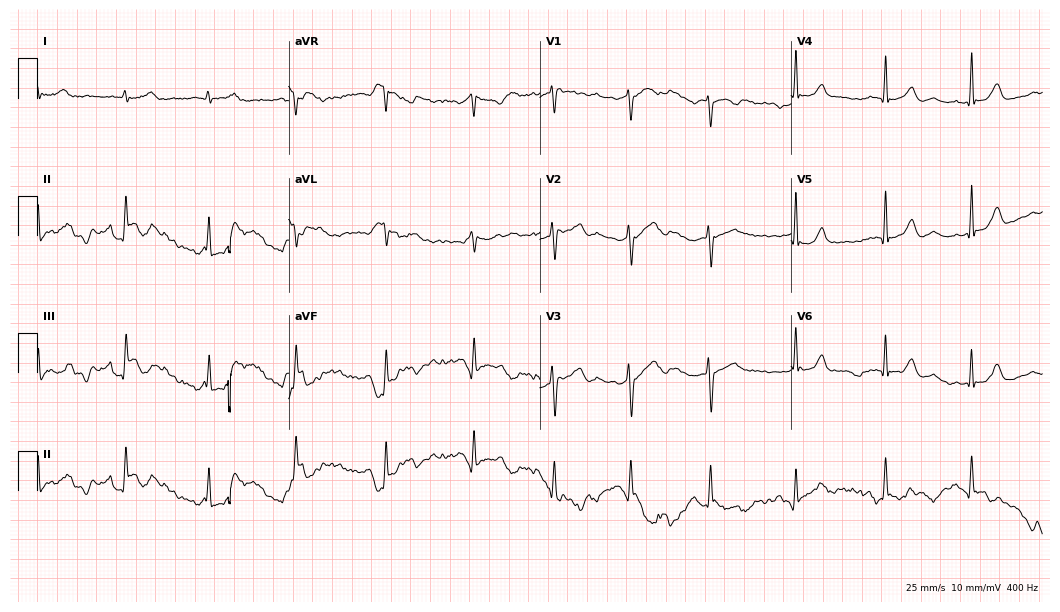
12-lead ECG (10.2-second recording at 400 Hz) from a female patient, 36 years old. Screened for six findings — first-degree AV block, right bundle branch block, left bundle branch block, sinus bradycardia, atrial fibrillation, sinus tachycardia — none is recorded. Only these six findings were labelled.